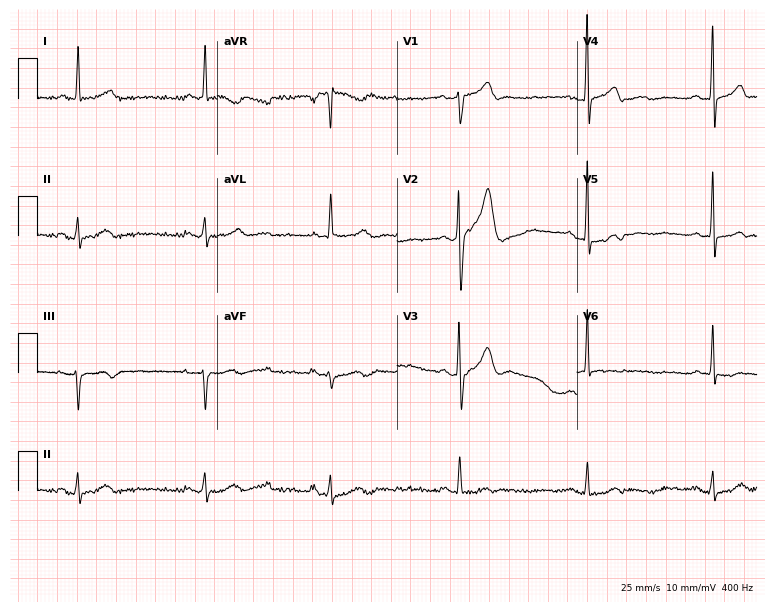
Standard 12-lead ECG recorded from a 69-year-old male. The tracing shows sinus bradycardia (a sinus rate of 50 beats per minute or less).